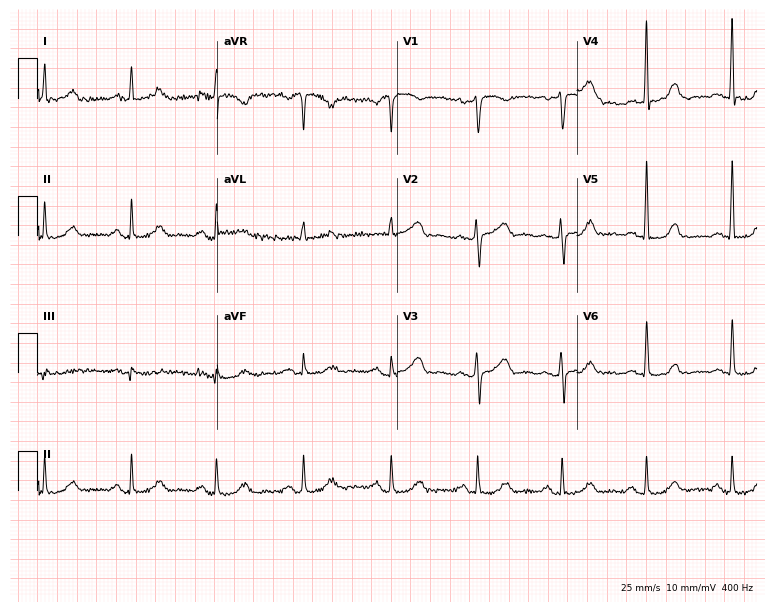
12-lead ECG from a 64-year-old woman (7.3-second recording at 400 Hz). No first-degree AV block, right bundle branch block, left bundle branch block, sinus bradycardia, atrial fibrillation or sinus tachycardia recorded for this tracing. Findings outside these six are not listed.